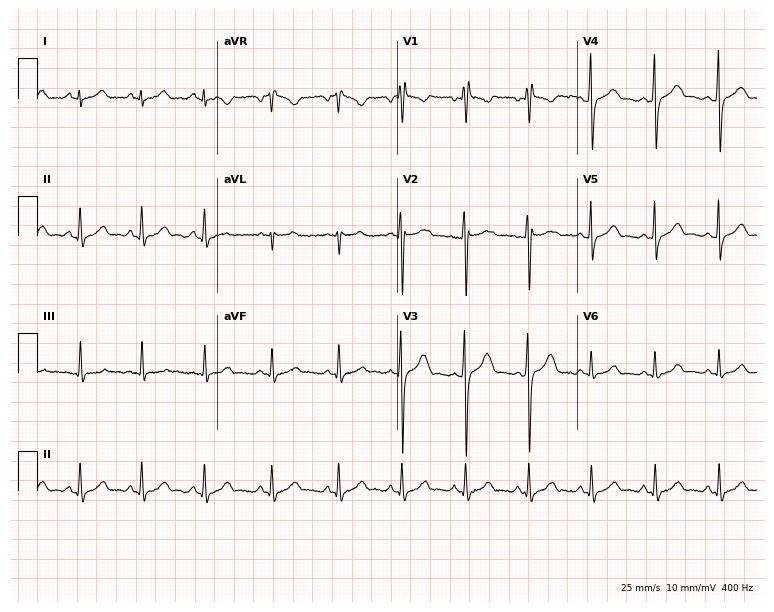
Resting 12-lead electrocardiogram. Patient: a 24-year-old female. None of these six findings is recorded: first-degree AV block, right bundle branch block, left bundle branch block, sinus bradycardia, atrial fibrillation, sinus tachycardia. Findings outside these six are not listed.